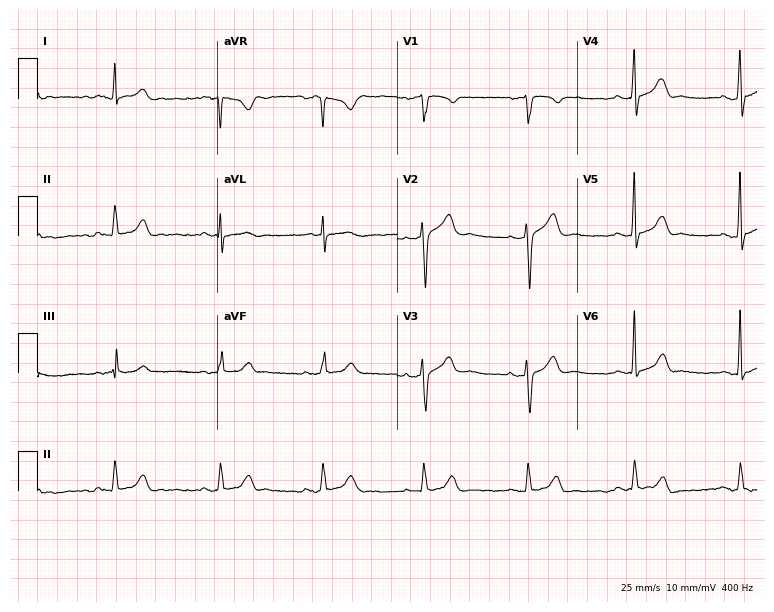
Standard 12-lead ECG recorded from a 45-year-old male patient. Read as a normal ECG.